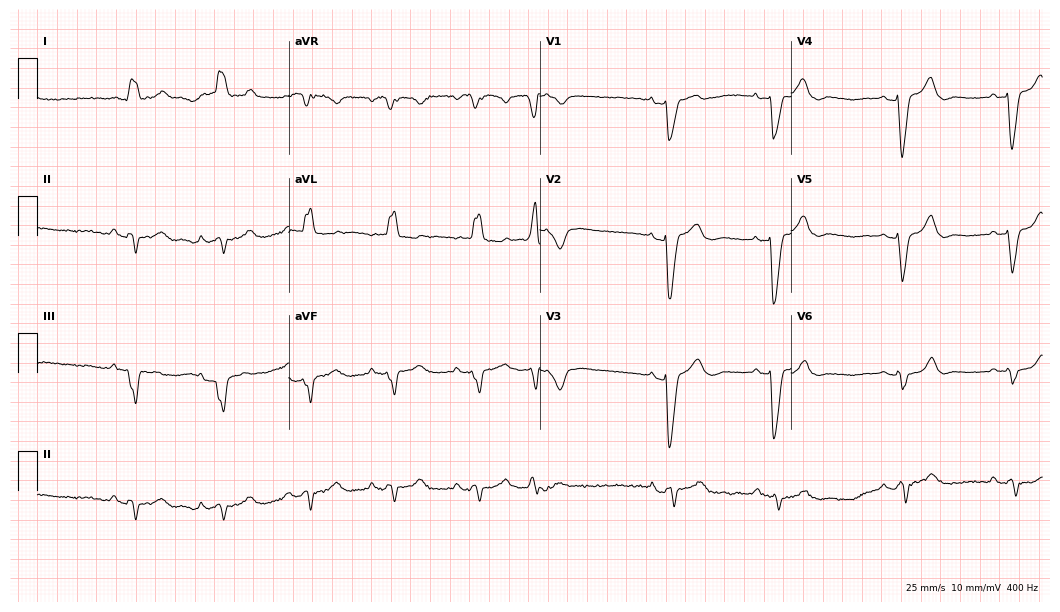
12-lead ECG from an 84-year-old female. Shows left bundle branch block (LBBB).